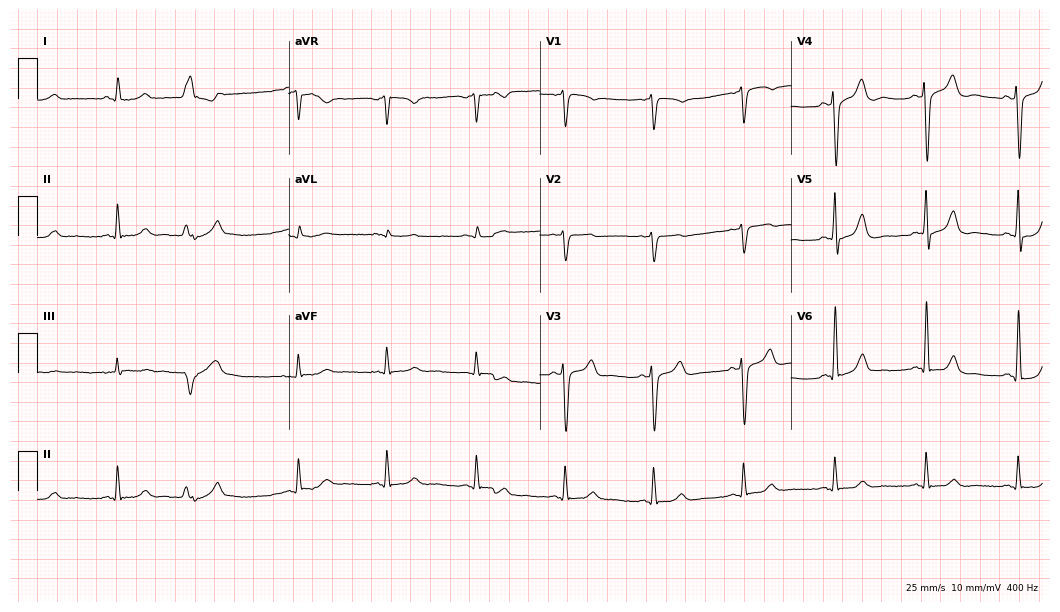
Electrocardiogram (10.2-second recording at 400 Hz), a male, 79 years old. Overall reading on record: normal ECG.